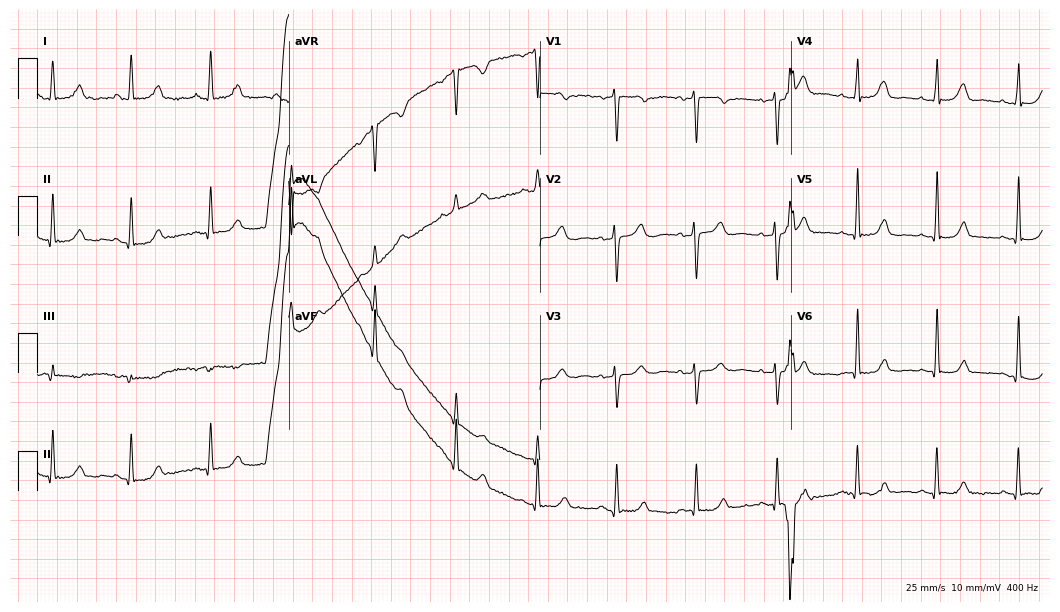
ECG — a female patient, 56 years old. Screened for six findings — first-degree AV block, right bundle branch block, left bundle branch block, sinus bradycardia, atrial fibrillation, sinus tachycardia — none is recorded.